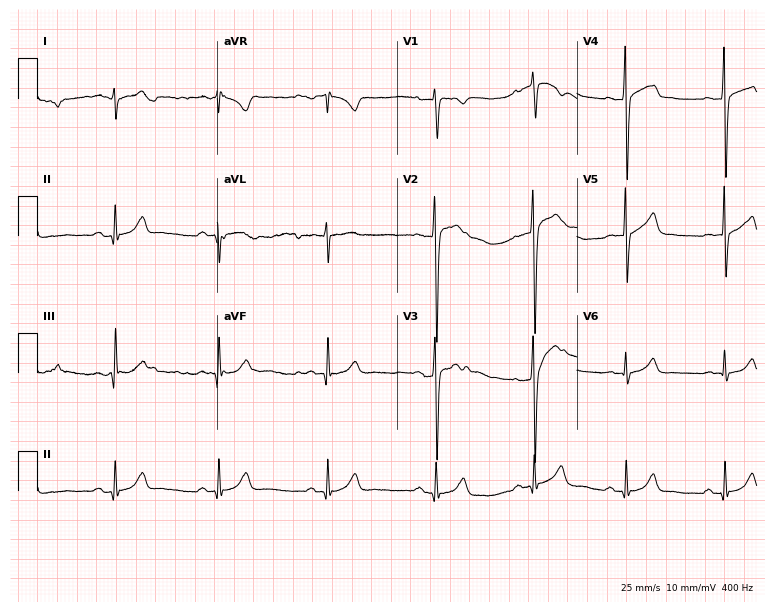
Electrocardiogram, a man, 24 years old. Overall reading on record: normal ECG.